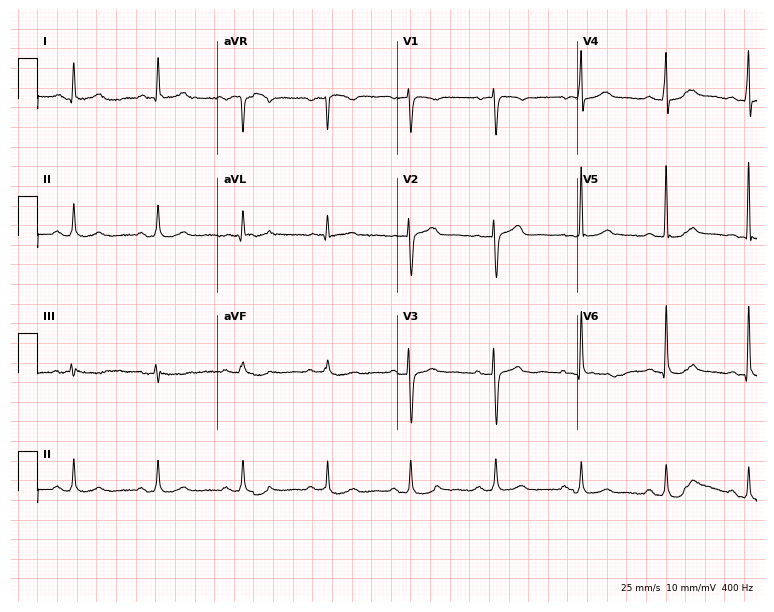
ECG (7.3-second recording at 400 Hz) — a woman, 52 years old. Labelled as a normal ECG.